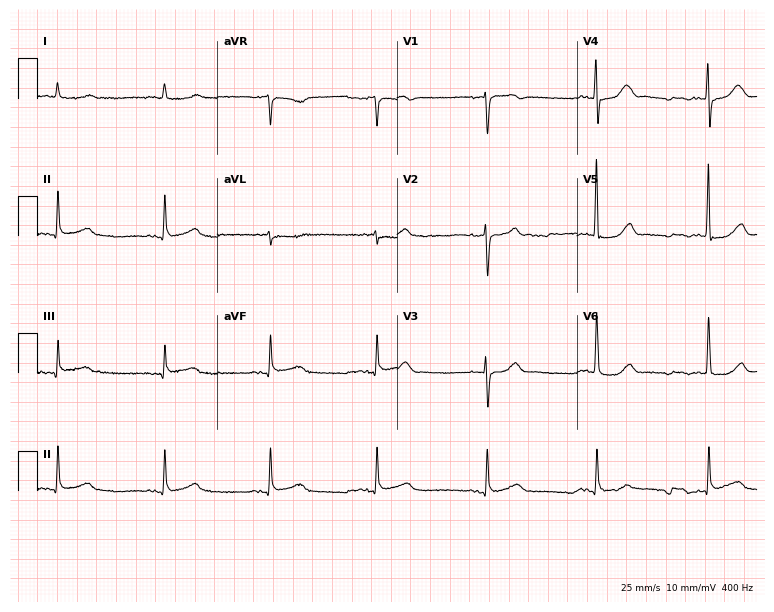
Resting 12-lead electrocardiogram (7.3-second recording at 400 Hz). Patient: an 80-year-old male. None of these six findings is recorded: first-degree AV block, right bundle branch block, left bundle branch block, sinus bradycardia, atrial fibrillation, sinus tachycardia.